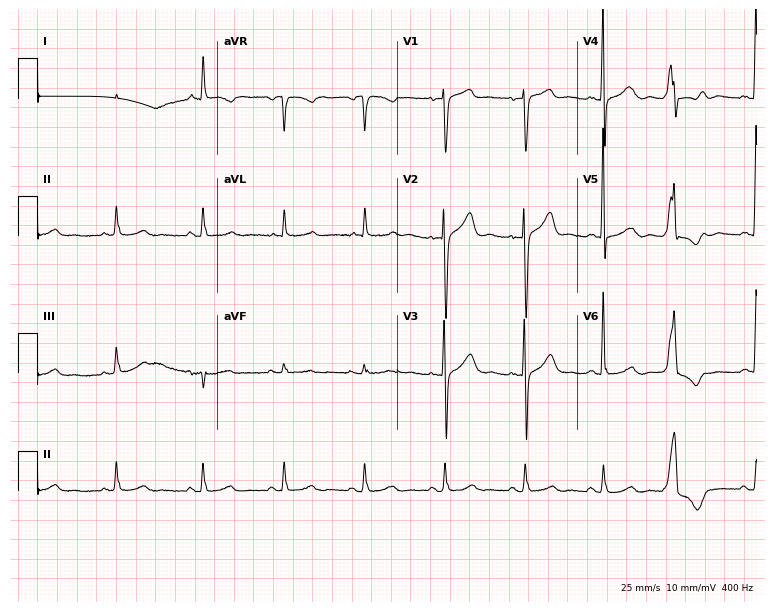
Resting 12-lead electrocardiogram. Patient: a 62-year-old female. None of these six findings is recorded: first-degree AV block, right bundle branch block, left bundle branch block, sinus bradycardia, atrial fibrillation, sinus tachycardia.